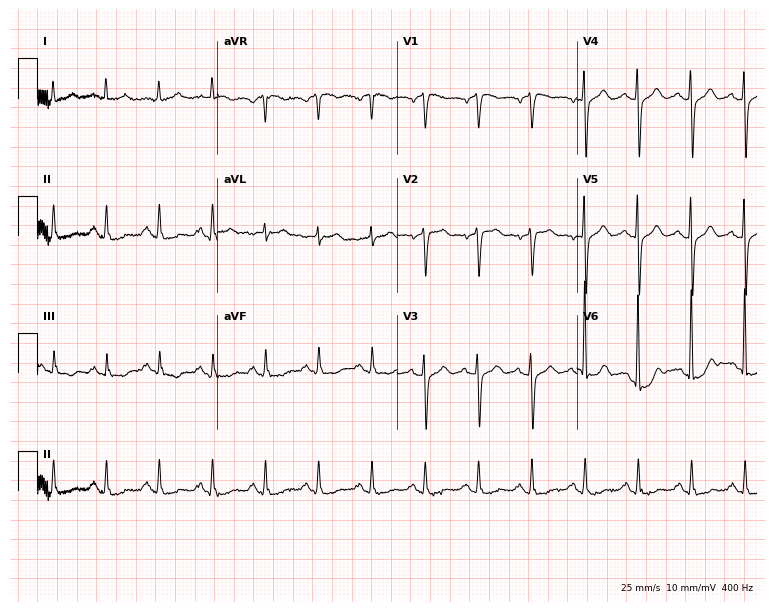
Electrocardiogram (7.3-second recording at 400 Hz), a 76-year-old man. Interpretation includes sinus tachycardia (a sinus rate of 100 beats per minute or more).